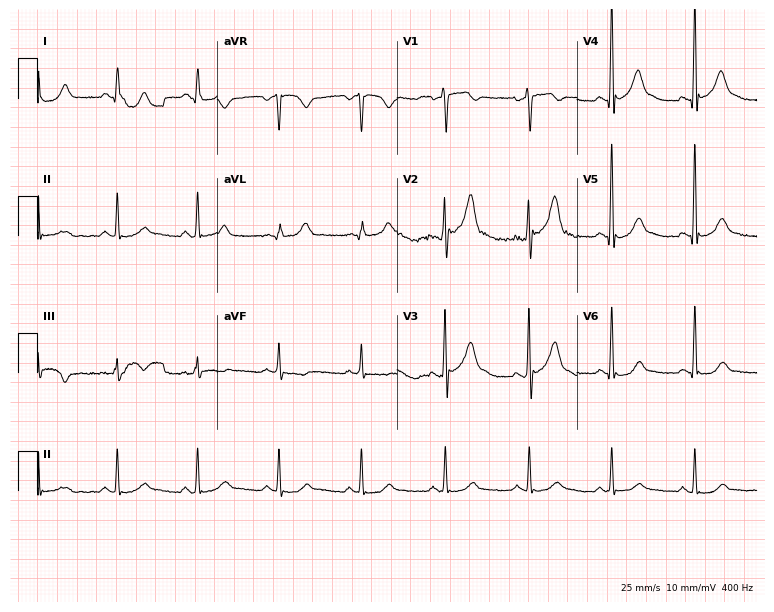
Standard 12-lead ECG recorded from a man, 44 years old. None of these six findings is recorded: first-degree AV block, right bundle branch block (RBBB), left bundle branch block (LBBB), sinus bradycardia, atrial fibrillation (AF), sinus tachycardia. Findings outside these six are not listed.